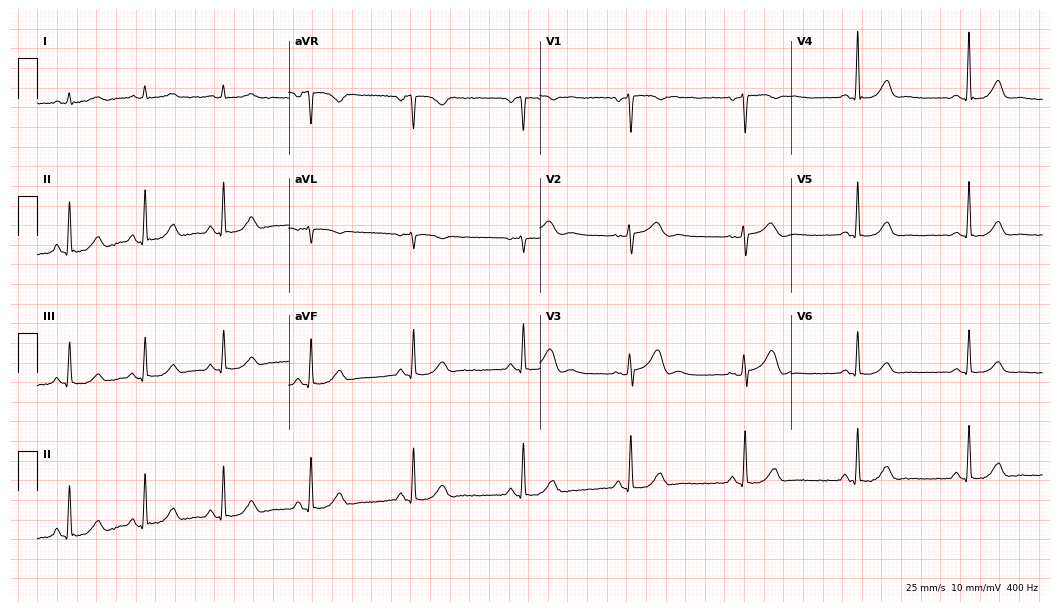
12-lead ECG from a 46-year-old woman. Labelled as a normal ECG.